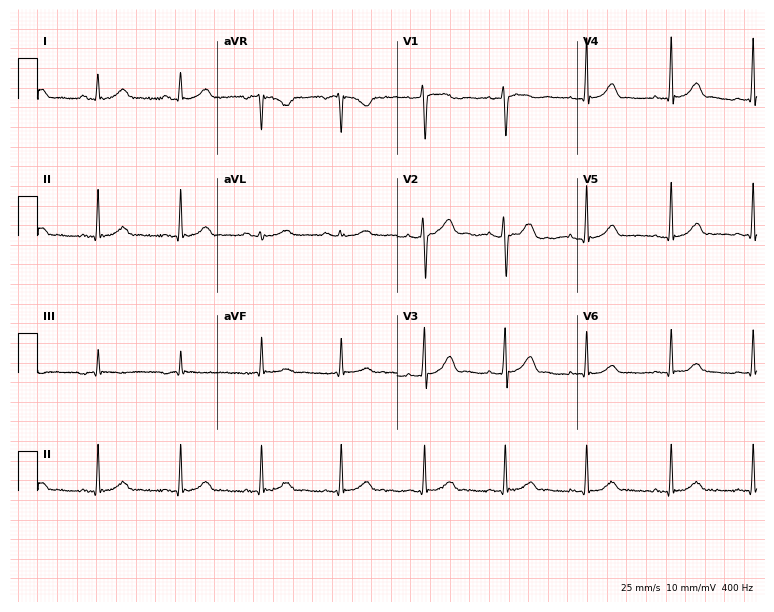
Resting 12-lead electrocardiogram. Patient: a female, 32 years old. Read as a normal ECG.